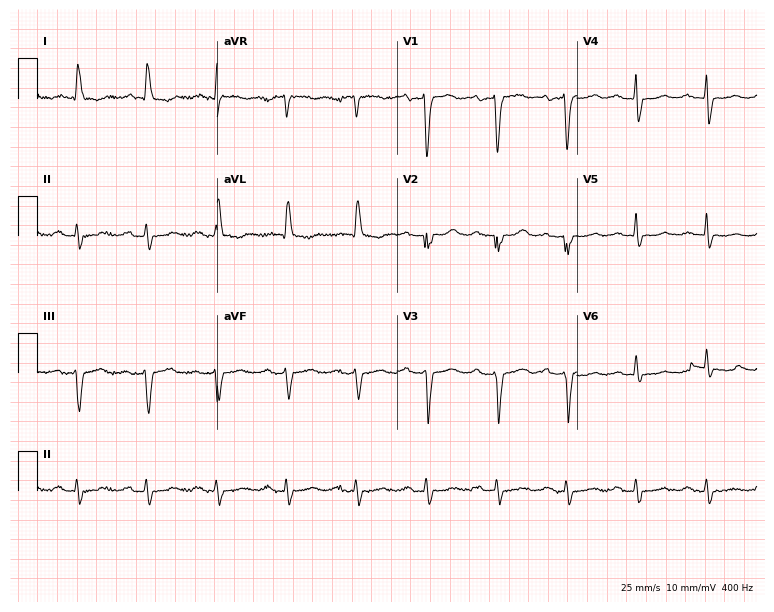
12-lead ECG (7.3-second recording at 400 Hz) from a woman, 83 years old. Screened for six findings — first-degree AV block, right bundle branch block, left bundle branch block, sinus bradycardia, atrial fibrillation, sinus tachycardia — none is recorded. Other findings, if any, are not listed.